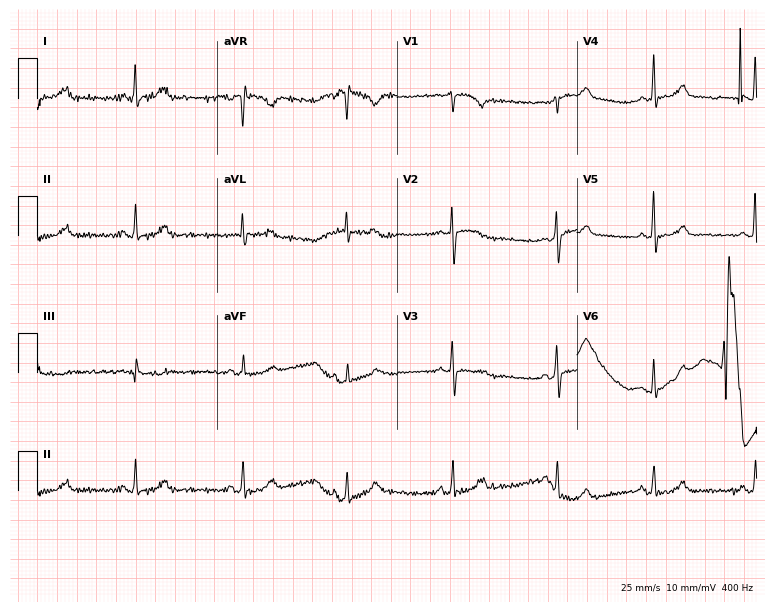
Standard 12-lead ECG recorded from a 53-year-old female patient. Read as a normal ECG.